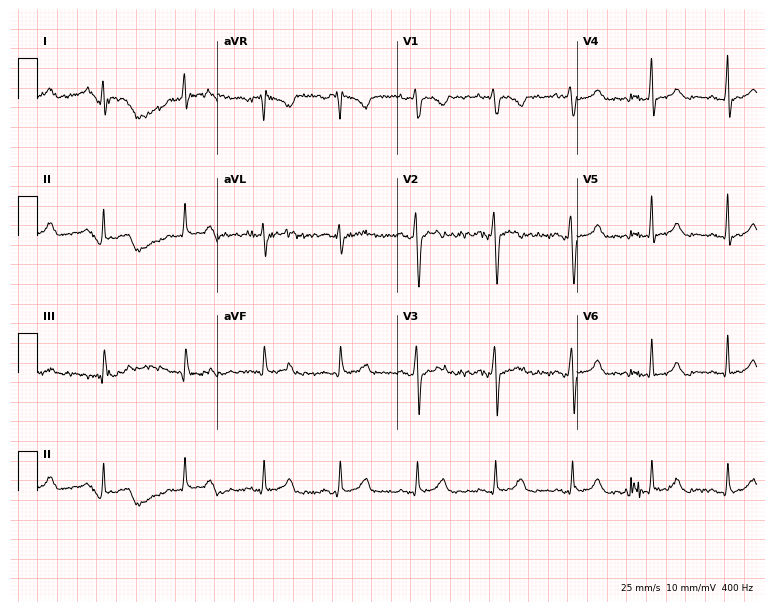
Resting 12-lead electrocardiogram. Patient: a 36-year-old female. None of these six findings is recorded: first-degree AV block, right bundle branch block (RBBB), left bundle branch block (LBBB), sinus bradycardia, atrial fibrillation (AF), sinus tachycardia.